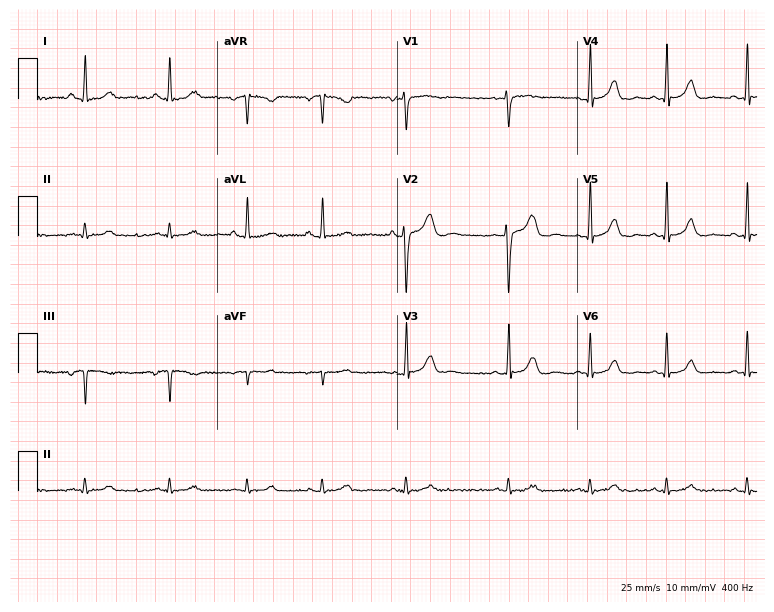
Electrocardiogram, a female, 26 years old. Overall reading on record: normal ECG.